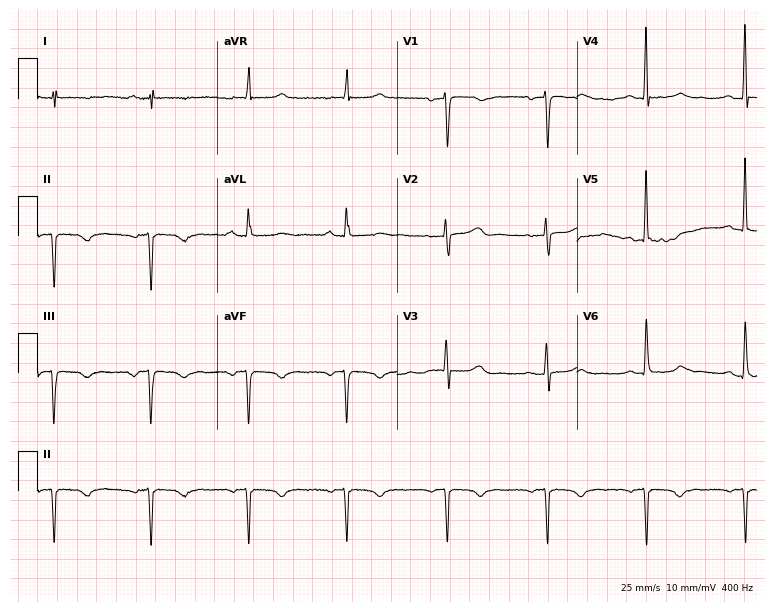
Resting 12-lead electrocardiogram (7.3-second recording at 400 Hz). Patient: a woman, 74 years old. None of these six findings is recorded: first-degree AV block, right bundle branch block, left bundle branch block, sinus bradycardia, atrial fibrillation, sinus tachycardia.